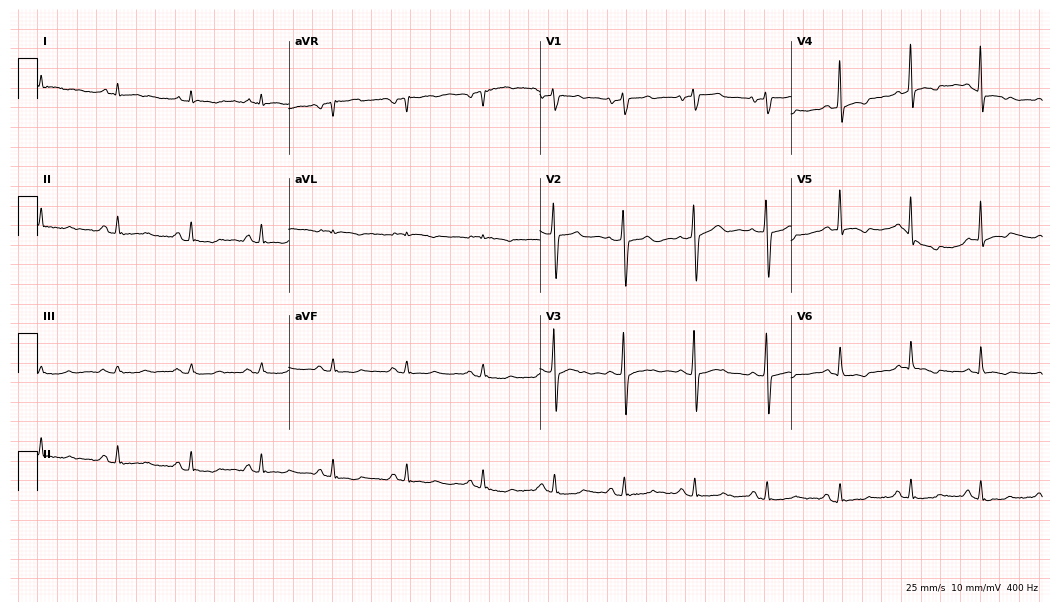
ECG — a 61-year-old male. Screened for six findings — first-degree AV block, right bundle branch block, left bundle branch block, sinus bradycardia, atrial fibrillation, sinus tachycardia — none is recorded. Findings outside these six are not listed.